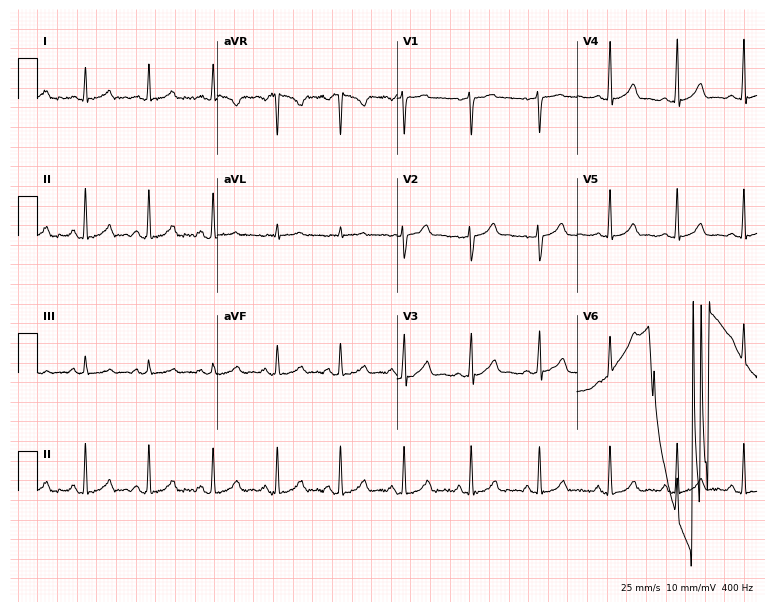
Resting 12-lead electrocardiogram (7.3-second recording at 400 Hz). Patient: a 29-year-old female. Read as a normal ECG.